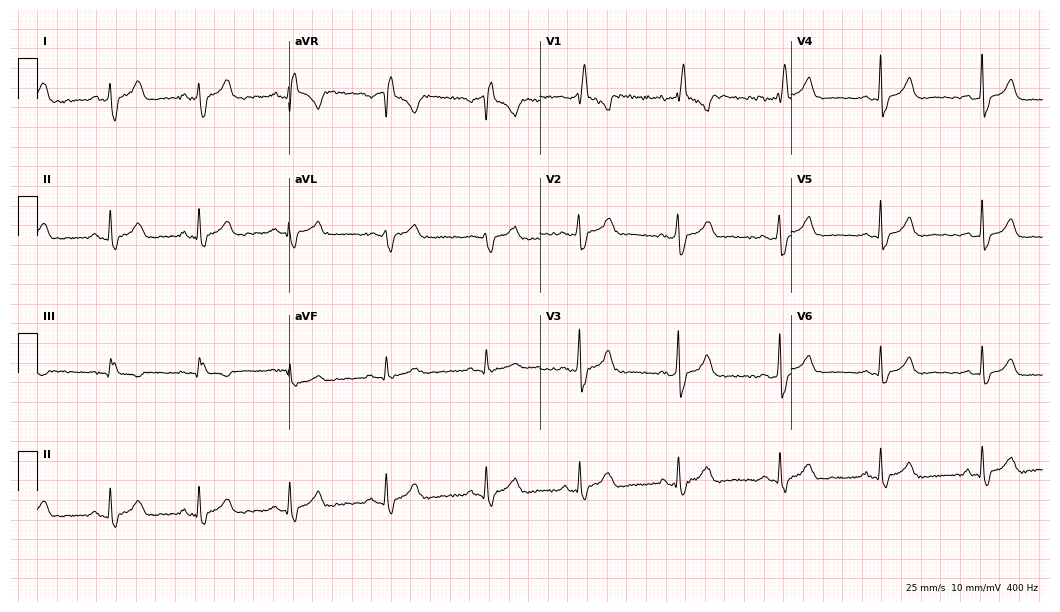
12-lead ECG (10.2-second recording at 400 Hz) from a 32-year-old female. Screened for six findings — first-degree AV block, right bundle branch block (RBBB), left bundle branch block (LBBB), sinus bradycardia, atrial fibrillation (AF), sinus tachycardia — none is recorded. Findings outside these six are not listed.